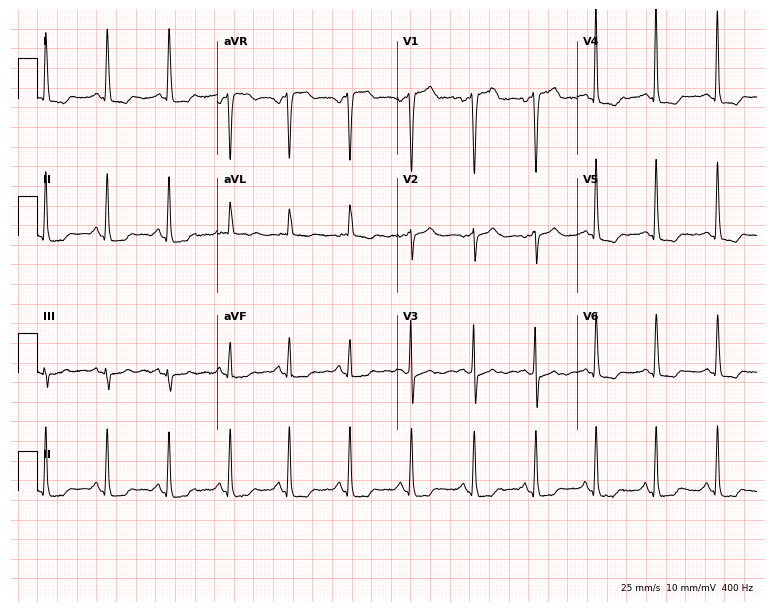
Standard 12-lead ECG recorded from a 60-year-old female patient (7.3-second recording at 400 Hz). None of these six findings is recorded: first-degree AV block, right bundle branch block, left bundle branch block, sinus bradycardia, atrial fibrillation, sinus tachycardia.